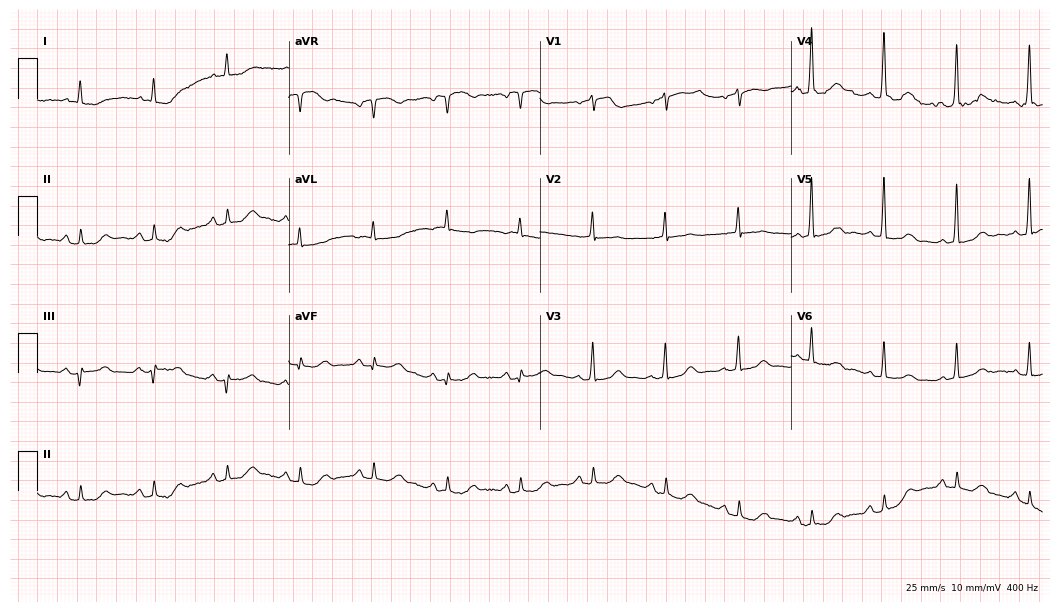
Standard 12-lead ECG recorded from an 80-year-old male (10.2-second recording at 400 Hz). None of these six findings is recorded: first-degree AV block, right bundle branch block (RBBB), left bundle branch block (LBBB), sinus bradycardia, atrial fibrillation (AF), sinus tachycardia. Other findings, if any, are not listed.